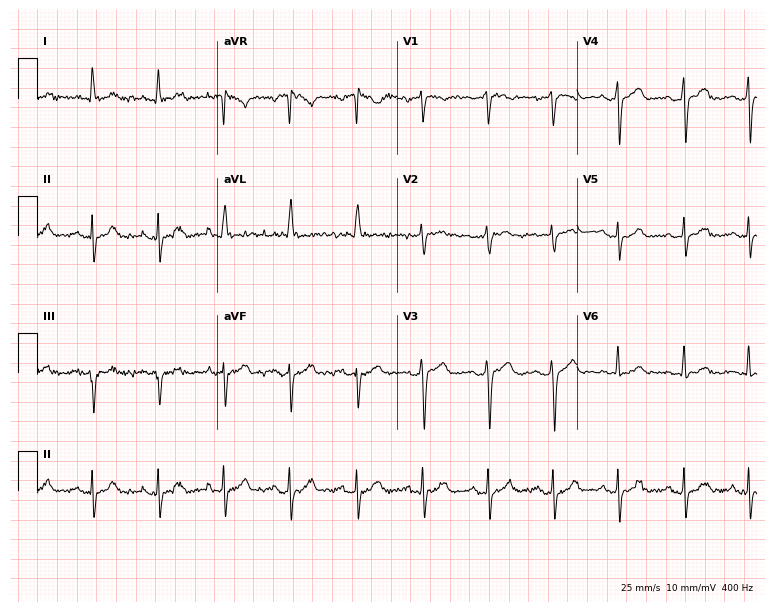
12-lead ECG from a woman, 48 years old (7.3-second recording at 400 Hz). Recorded interpretation: within normal limits.